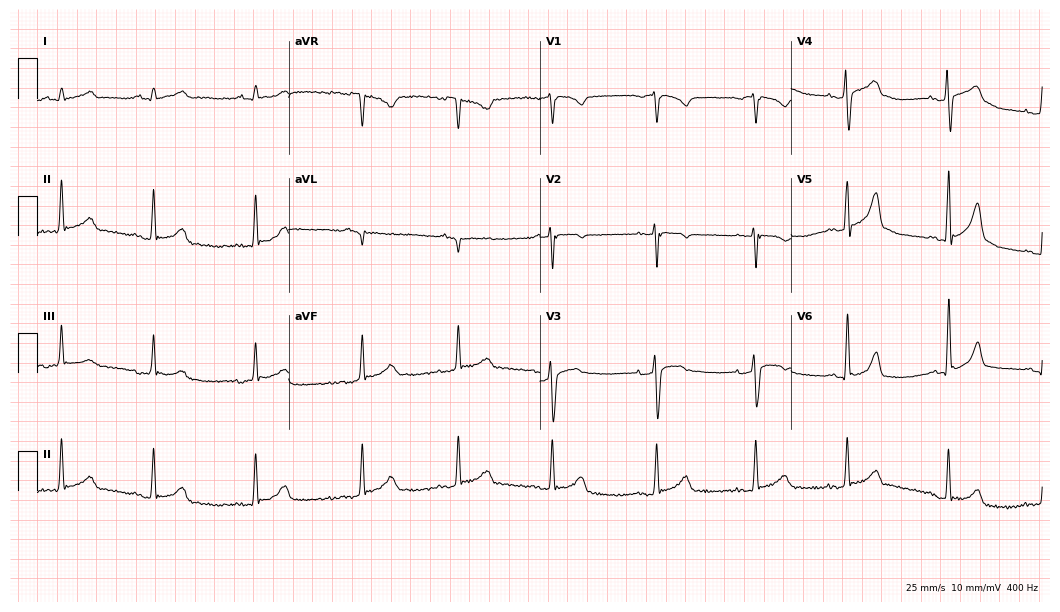
Standard 12-lead ECG recorded from a 35-year-old male patient. Read as a normal ECG.